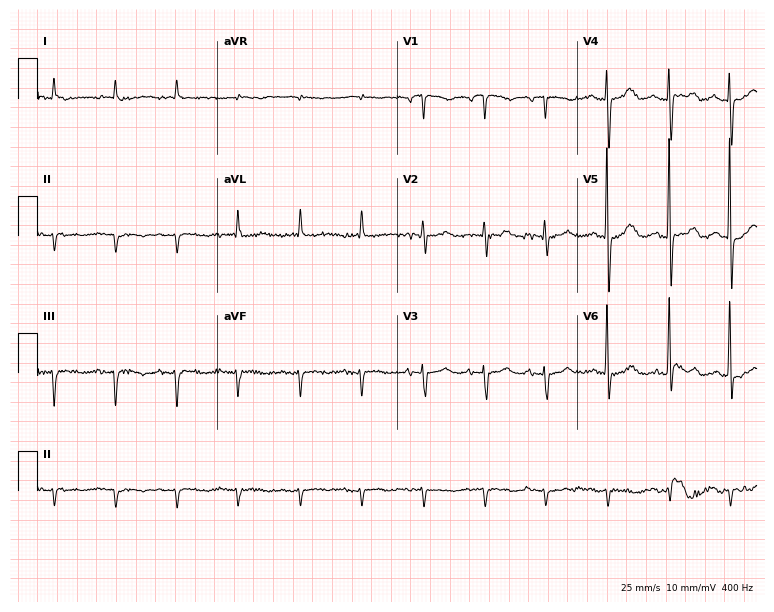
Electrocardiogram (7.3-second recording at 400 Hz), a female, 82 years old. Of the six screened findings (first-degree AV block, right bundle branch block, left bundle branch block, sinus bradycardia, atrial fibrillation, sinus tachycardia), none is recorded. Other findings, if any, are not listed.